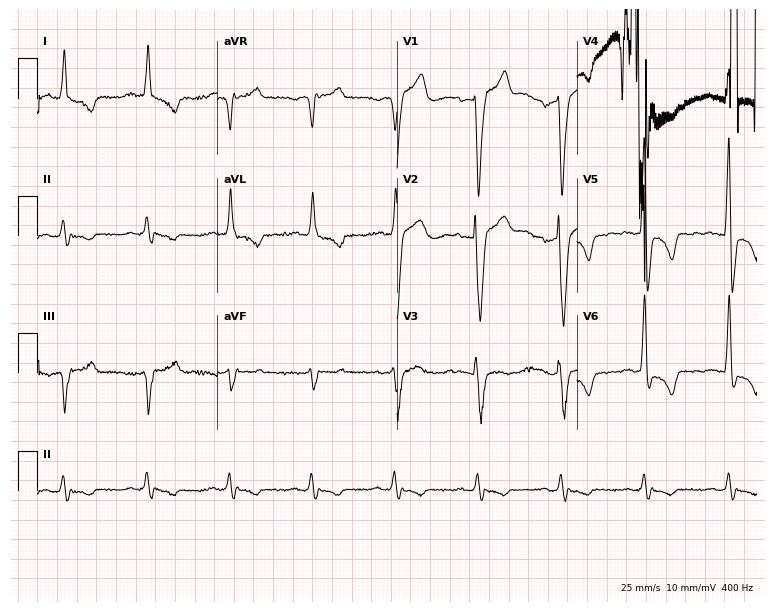
Electrocardiogram (7.3-second recording at 400 Hz), a male, 72 years old. Of the six screened findings (first-degree AV block, right bundle branch block, left bundle branch block, sinus bradycardia, atrial fibrillation, sinus tachycardia), none is recorded. Other findings, if any, are not listed.